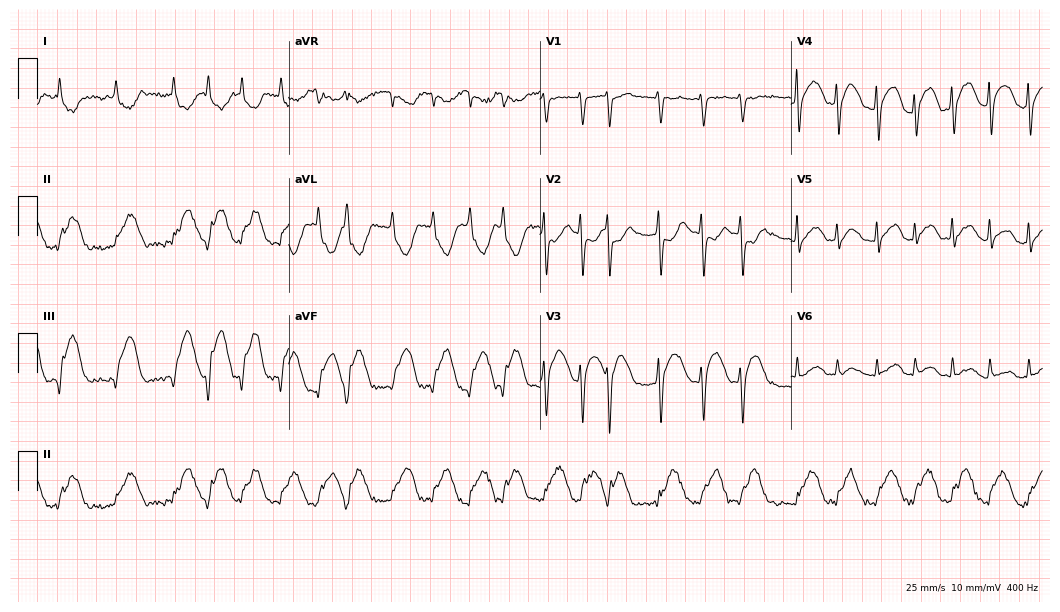
ECG — a 58-year-old female. Findings include atrial fibrillation.